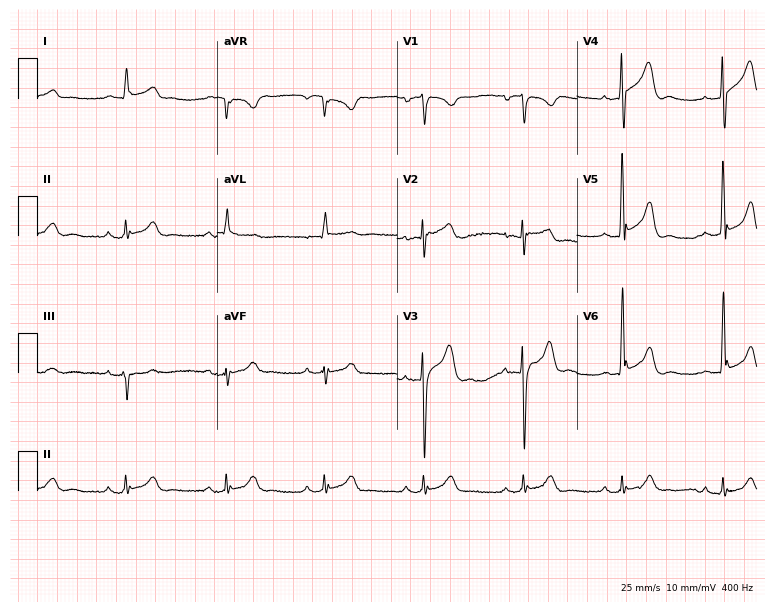
Standard 12-lead ECG recorded from a man, 62 years old (7.3-second recording at 400 Hz). None of these six findings is recorded: first-degree AV block, right bundle branch block, left bundle branch block, sinus bradycardia, atrial fibrillation, sinus tachycardia.